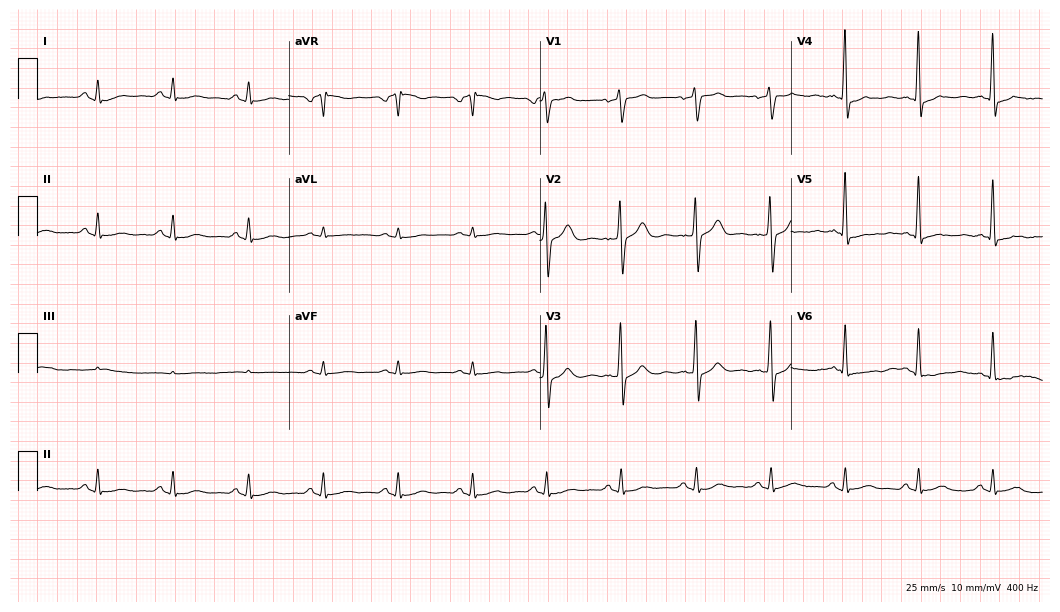
12-lead ECG (10.2-second recording at 400 Hz) from a man, 71 years old. Screened for six findings — first-degree AV block, right bundle branch block, left bundle branch block, sinus bradycardia, atrial fibrillation, sinus tachycardia — none is recorded.